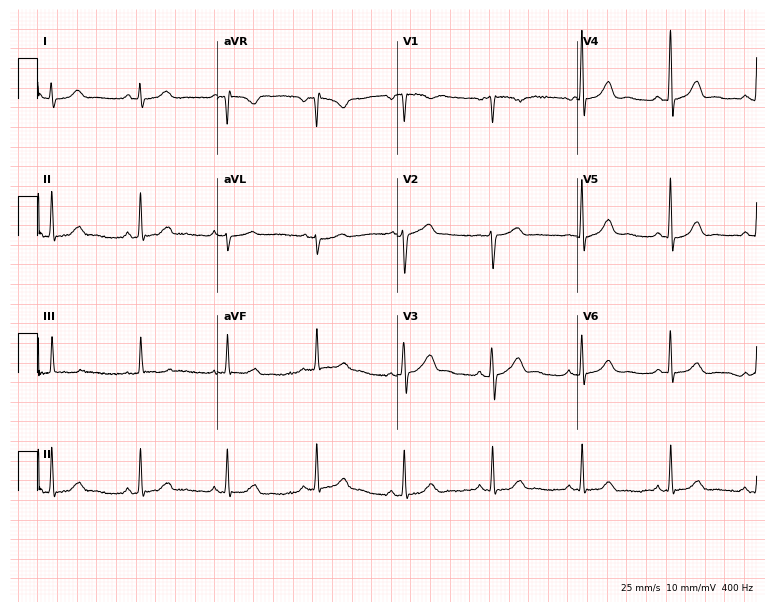
Electrocardiogram (7.3-second recording at 400 Hz), a 55-year-old male patient. Of the six screened findings (first-degree AV block, right bundle branch block (RBBB), left bundle branch block (LBBB), sinus bradycardia, atrial fibrillation (AF), sinus tachycardia), none is recorded. Findings outside these six are not listed.